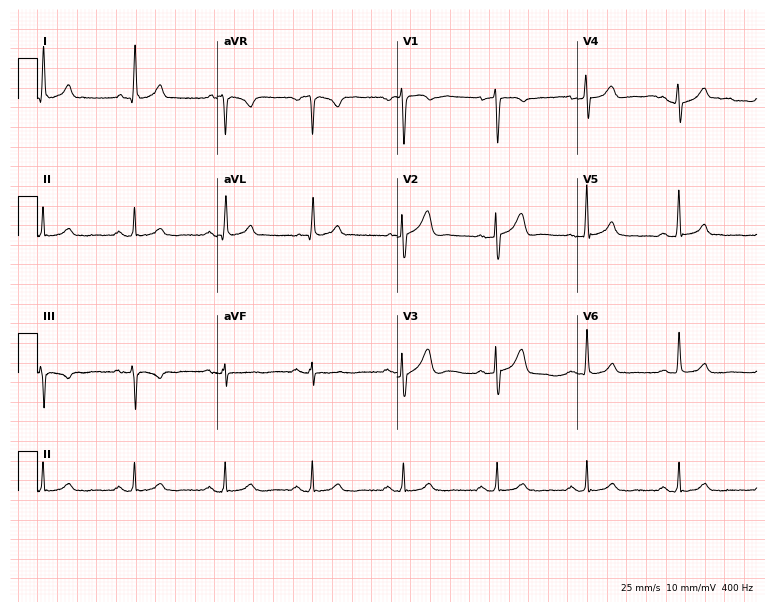
Resting 12-lead electrocardiogram (7.3-second recording at 400 Hz). Patient: a male, 61 years old. None of these six findings is recorded: first-degree AV block, right bundle branch block (RBBB), left bundle branch block (LBBB), sinus bradycardia, atrial fibrillation (AF), sinus tachycardia. Only these six findings were labelled.